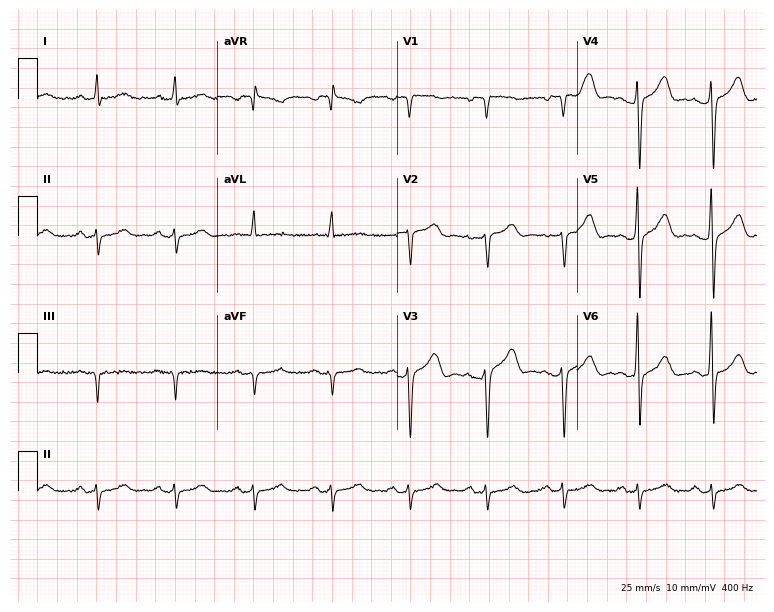
Standard 12-lead ECG recorded from a man, 67 years old (7.3-second recording at 400 Hz). None of these six findings is recorded: first-degree AV block, right bundle branch block, left bundle branch block, sinus bradycardia, atrial fibrillation, sinus tachycardia.